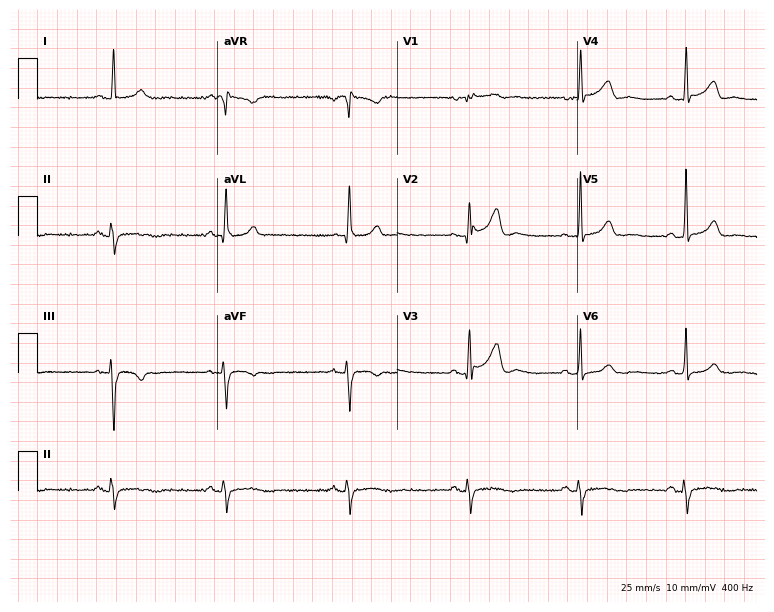
ECG — a male, 58 years old. Screened for six findings — first-degree AV block, right bundle branch block (RBBB), left bundle branch block (LBBB), sinus bradycardia, atrial fibrillation (AF), sinus tachycardia — none is recorded. Other findings, if any, are not listed.